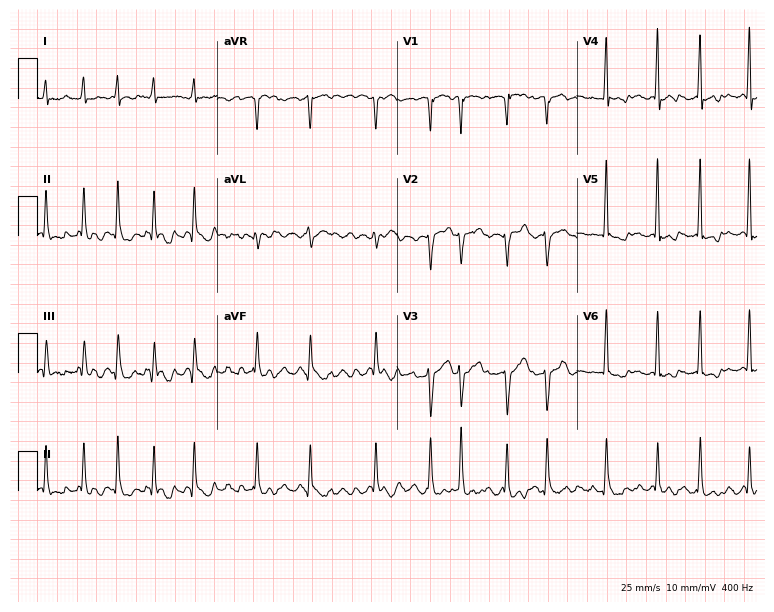
Electrocardiogram (7.3-second recording at 400 Hz), a 51-year-old female patient. Interpretation includes atrial fibrillation.